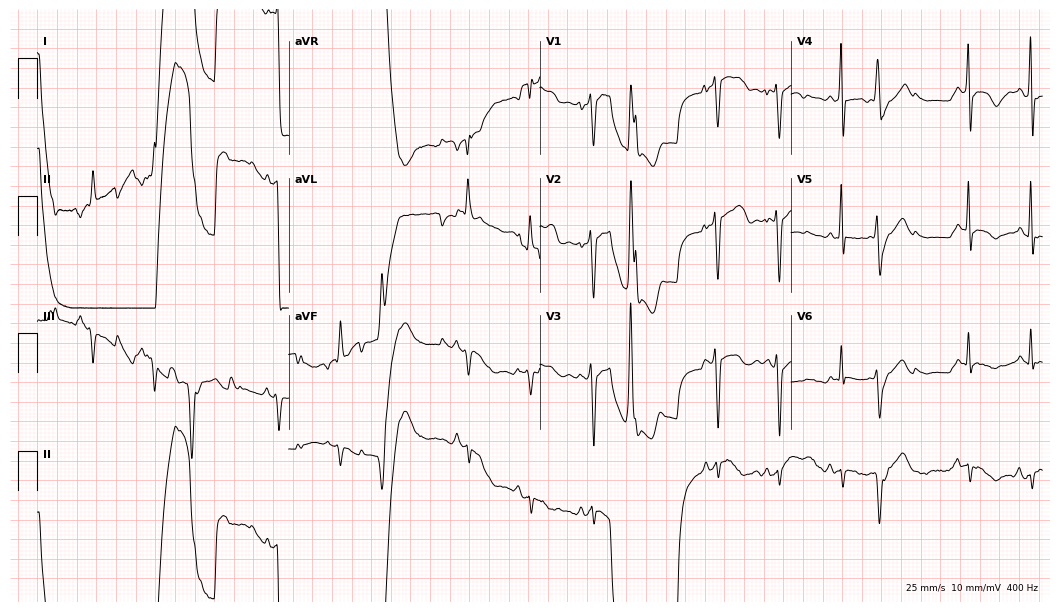
Standard 12-lead ECG recorded from a 78-year-old woman (10.2-second recording at 400 Hz). None of these six findings is recorded: first-degree AV block, right bundle branch block, left bundle branch block, sinus bradycardia, atrial fibrillation, sinus tachycardia. Other findings, if any, are not listed.